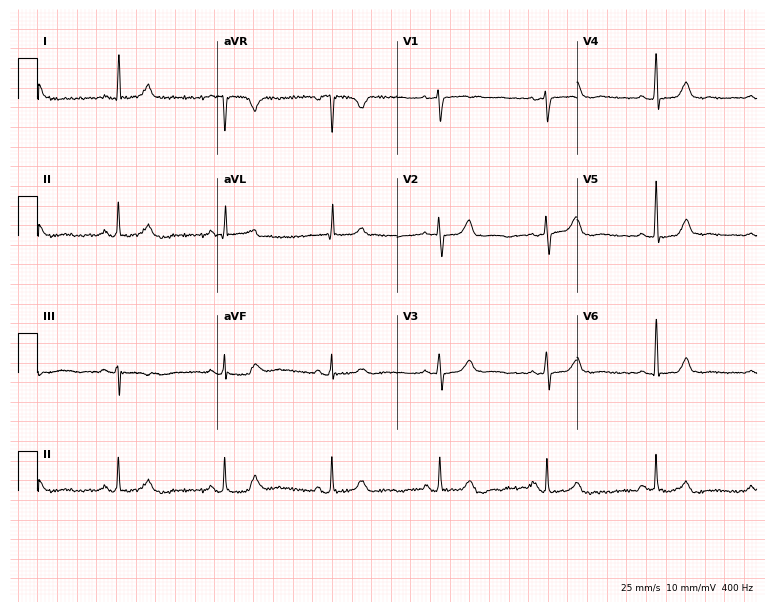
ECG — a female patient, 62 years old. Labelled as a normal ECG.